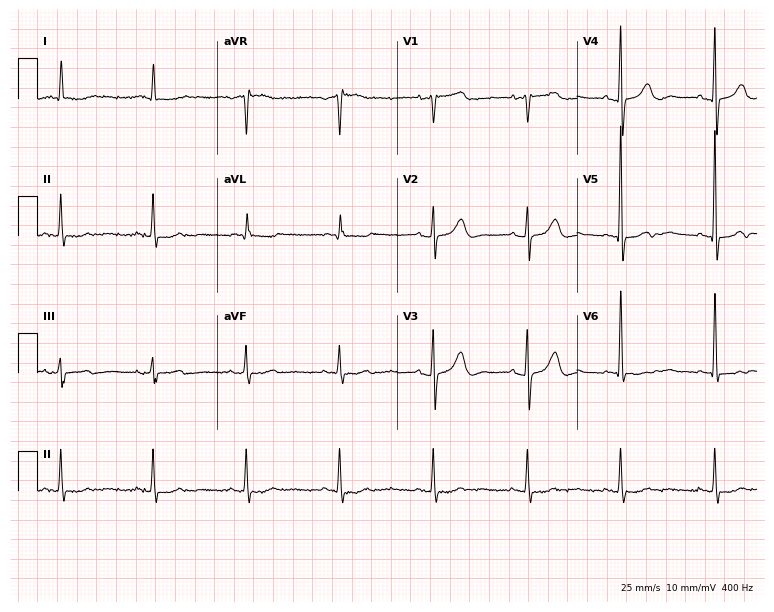
12-lead ECG from a female patient, 68 years old. No first-degree AV block, right bundle branch block, left bundle branch block, sinus bradycardia, atrial fibrillation or sinus tachycardia recorded for this tracing. Only these six findings were labelled.